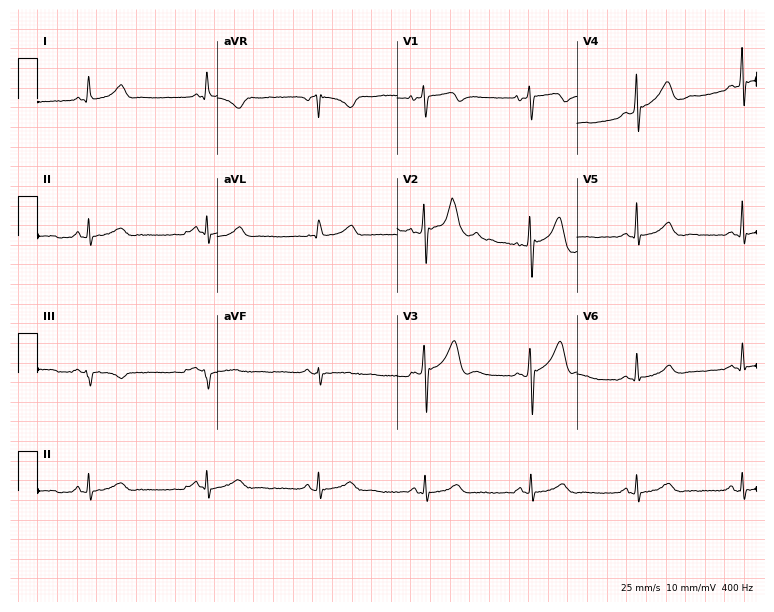
Electrocardiogram (7.3-second recording at 400 Hz), a 59-year-old man. Of the six screened findings (first-degree AV block, right bundle branch block, left bundle branch block, sinus bradycardia, atrial fibrillation, sinus tachycardia), none is recorded. Other findings, if any, are not listed.